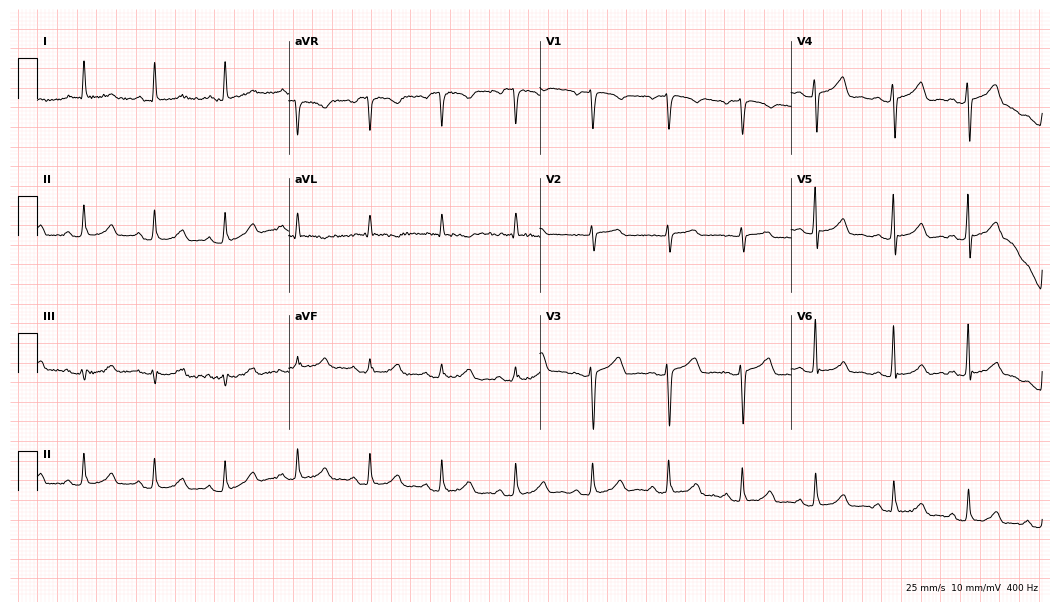
12-lead ECG from a female patient, 65 years old. Recorded interpretation: within normal limits.